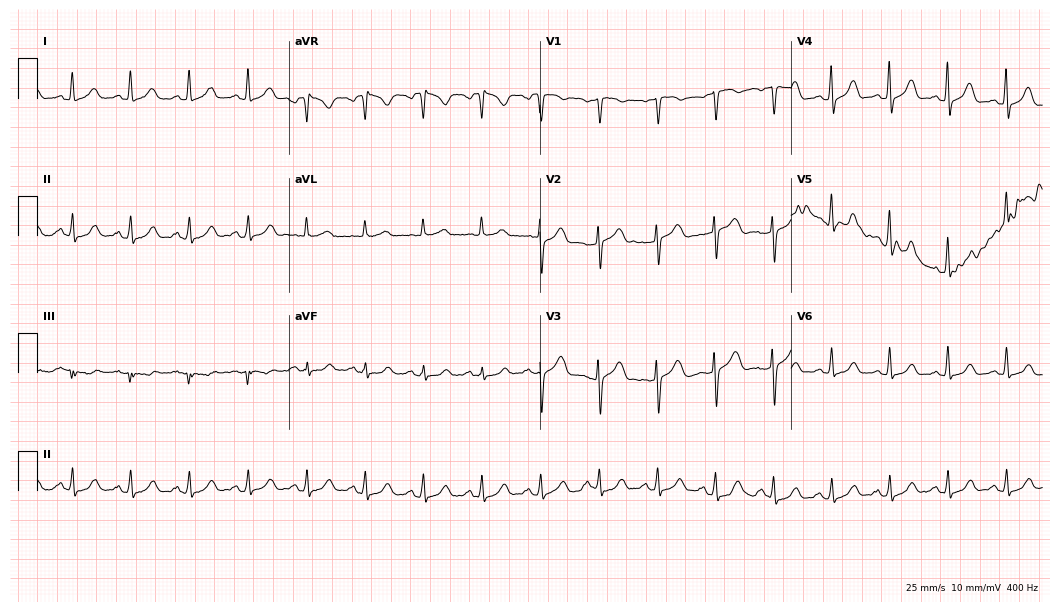
ECG — a woman, 60 years old. Findings include sinus tachycardia (a sinus rate of 100 beats per minute or more).